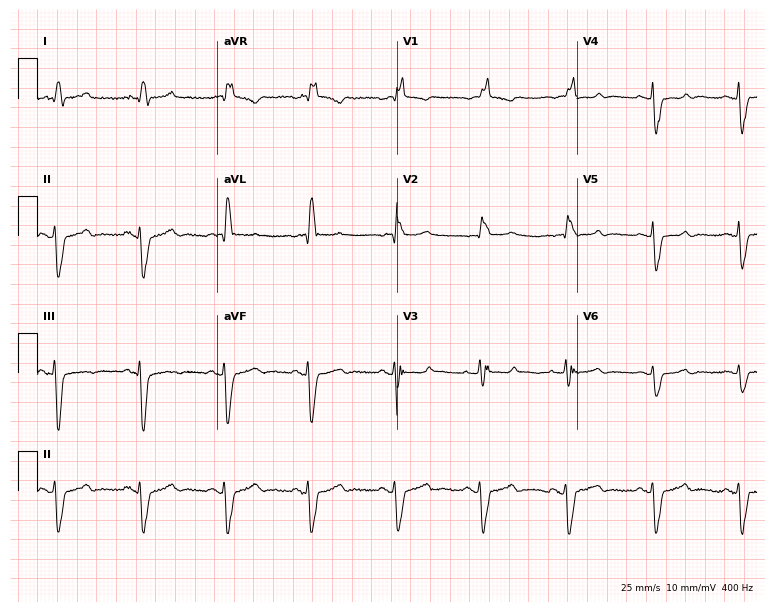
ECG — a 78-year-old female patient. Findings include right bundle branch block.